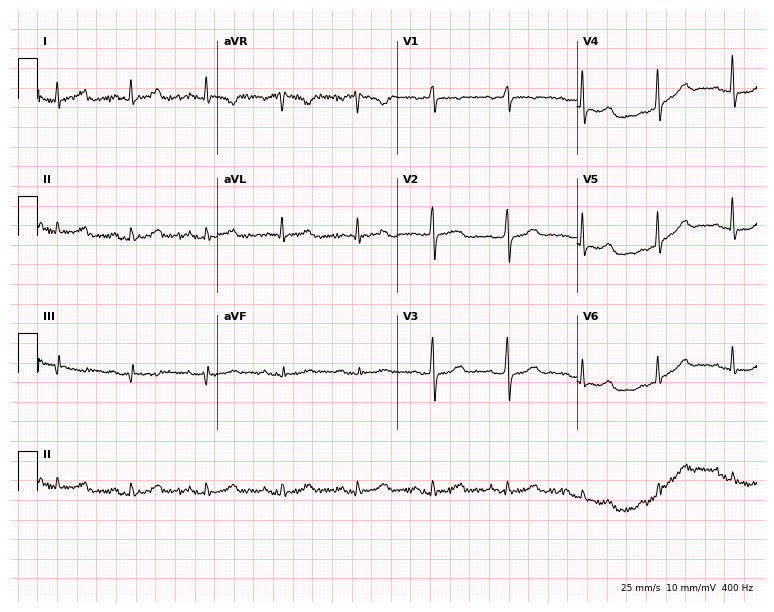
Resting 12-lead electrocardiogram (7.3-second recording at 400 Hz). Patient: a woman, 69 years old. Read as a normal ECG.